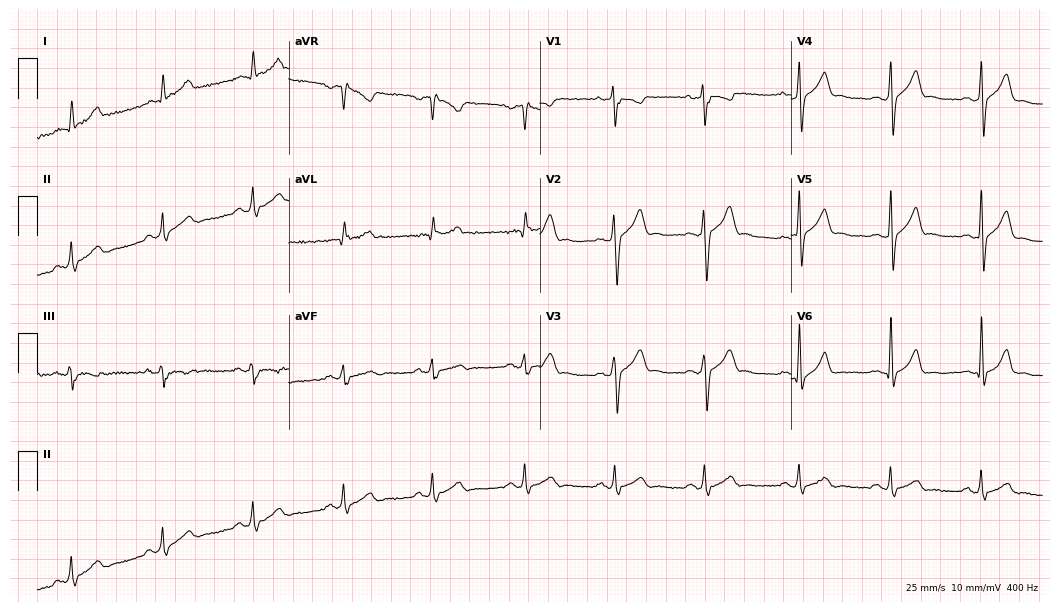
Standard 12-lead ECG recorded from a 24-year-old male. None of these six findings is recorded: first-degree AV block, right bundle branch block, left bundle branch block, sinus bradycardia, atrial fibrillation, sinus tachycardia. Only these six findings were labelled.